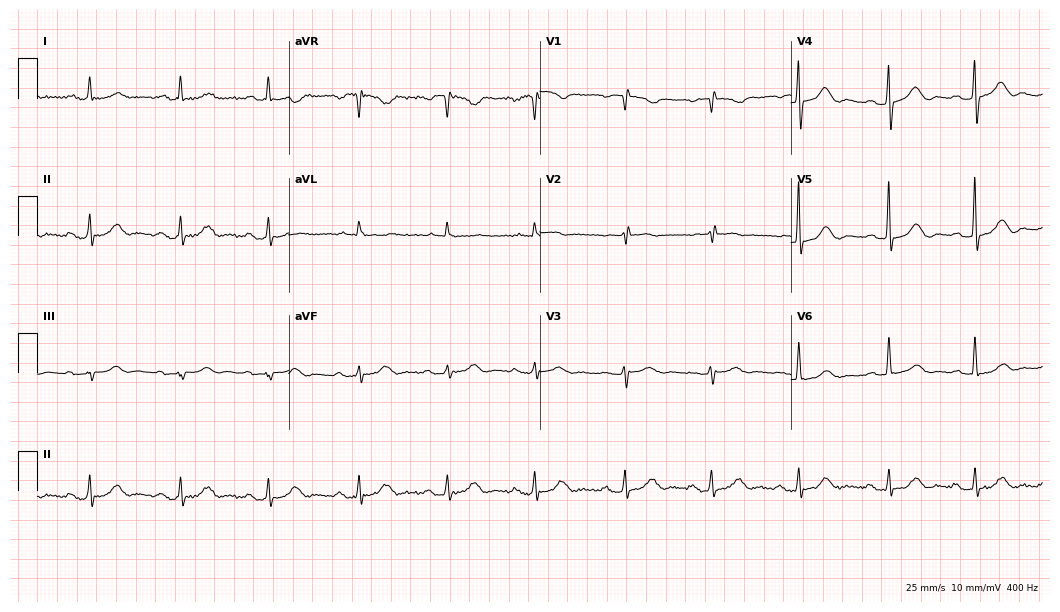
ECG (10.2-second recording at 400 Hz) — an 82-year-old female patient. Labelled as a normal ECG.